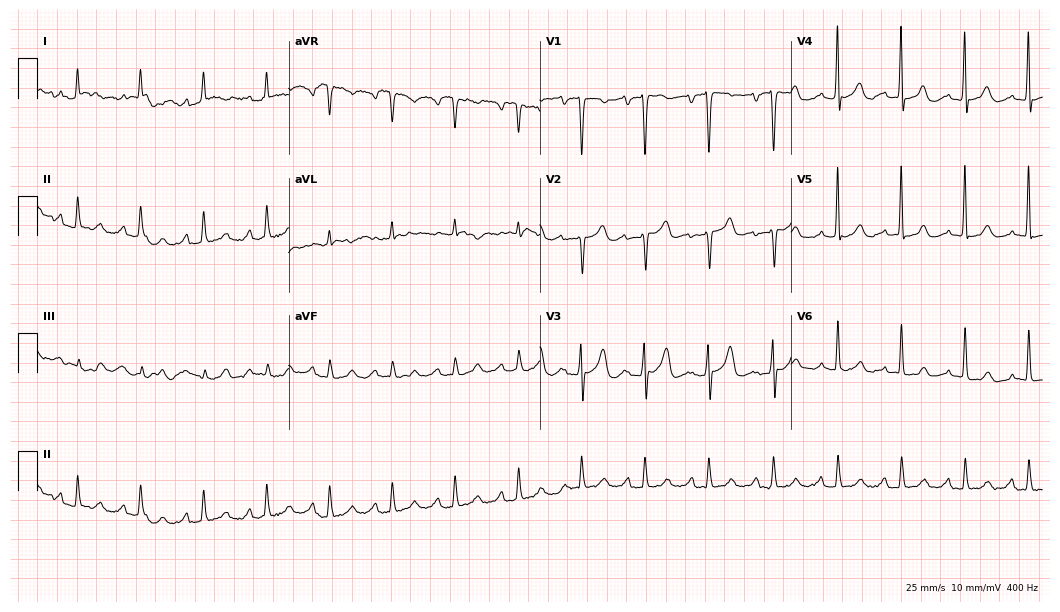
ECG (10.2-second recording at 400 Hz) — a female, 76 years old. Screened for six findings — first-degree AV block, right bundle branch block, left bundle branch block, sinus bradycardia, atrial fibrillation, sinus tachycardia — none is recorded.